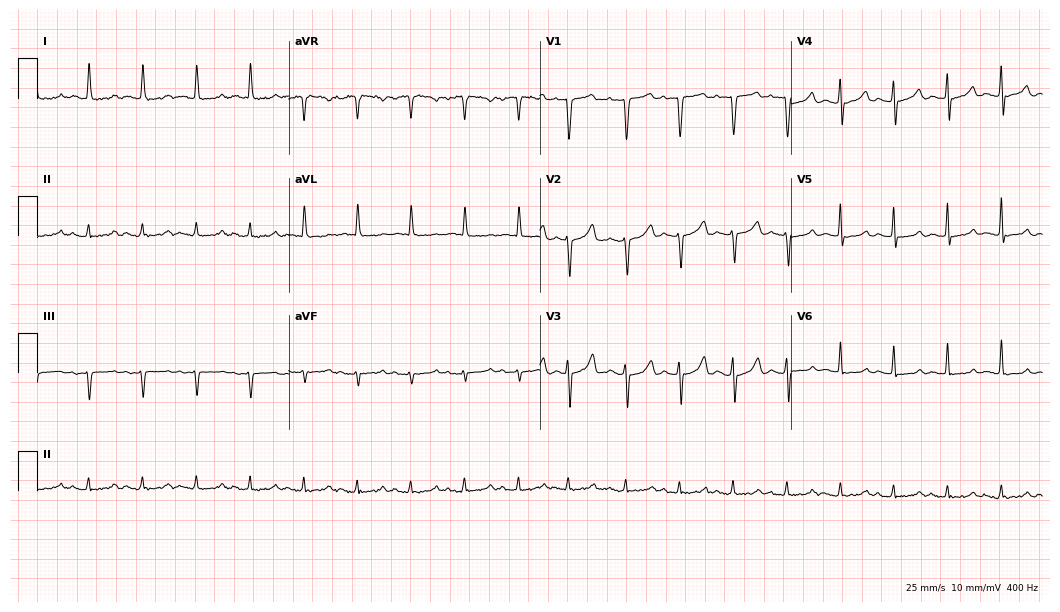
Electrocardiogram, a woman, 74 years old. Interpretation includes sinus tachycardia (a sinus rate of 100 beats per minute or more).